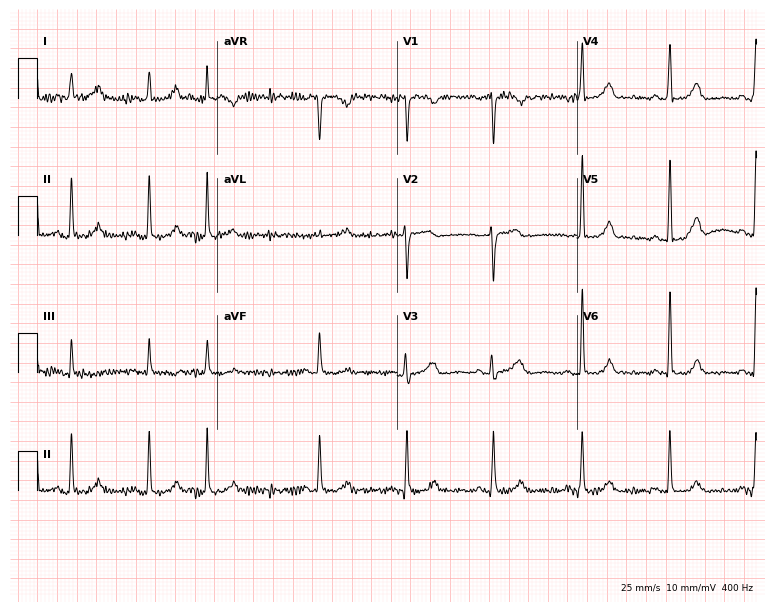
Electrocardiogram, a female, 66 years old. Of the six screened findings (first-degree AV block, right bundle branch block (RBBB), left bundle branch block (LBBB), sinus bradycardia, atrial fibrillation (AF), sinus tachycardia), none is recorded. Findings outside these six are not listed.